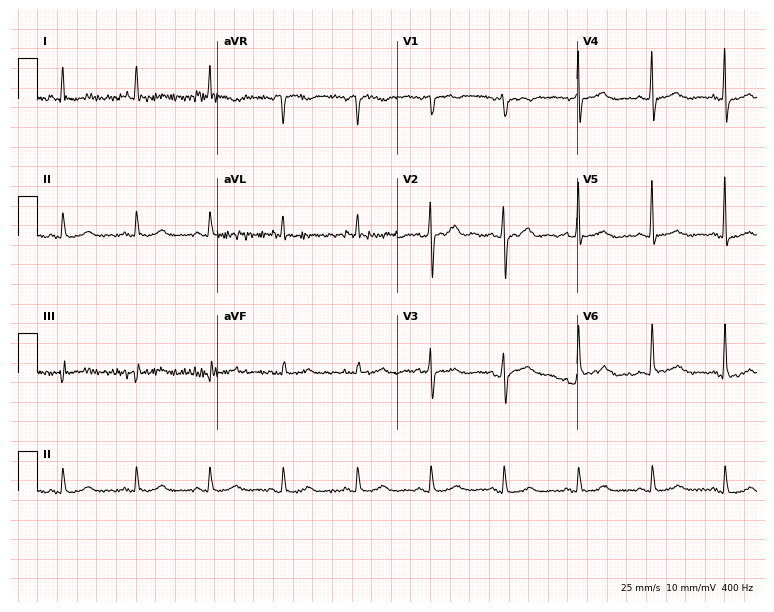
Resting 12-lead electrocardiogram. Patient: a 77-year-old woman. Read as a normal ECG.